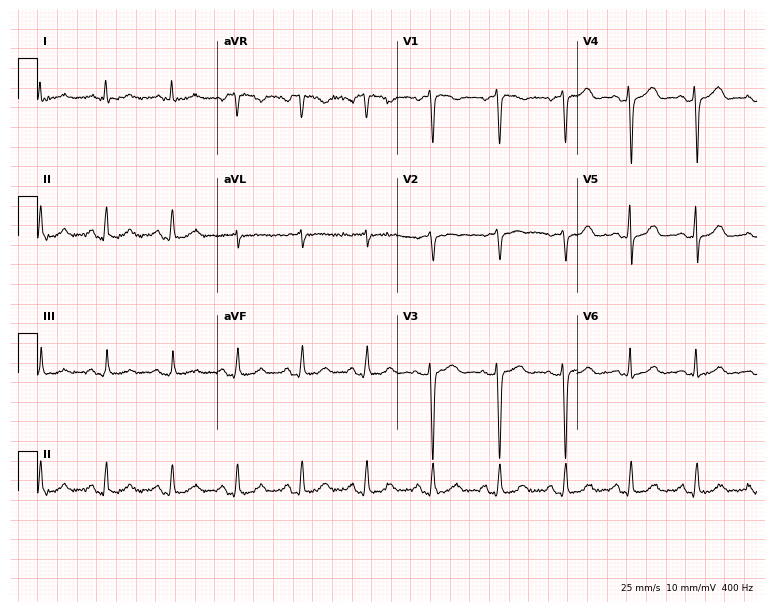
Standard 12-lead ECG recorded from a 64-year-old woman (7.3-second recording at 400 Hz). None of these six findings is recorded: first-degree AV block, right bundle branch block (RBBB), left bundle branch block (LBBB), sinus bradycardia, atrial fibrillation (AF), sinus tachycardia. Only these six findings were labelled.